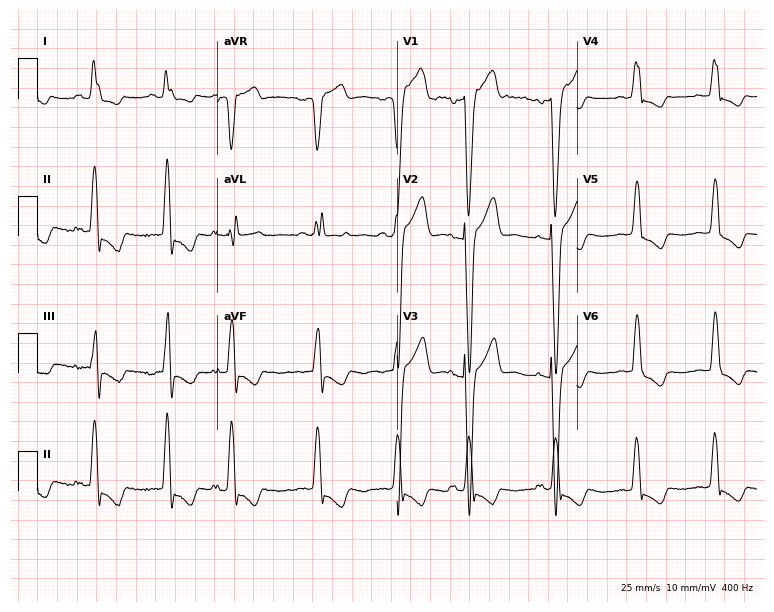
12-lead ECG from a 74-year-old woman (7.3-second recording at 400 Hz). Shows left bundle branch block.